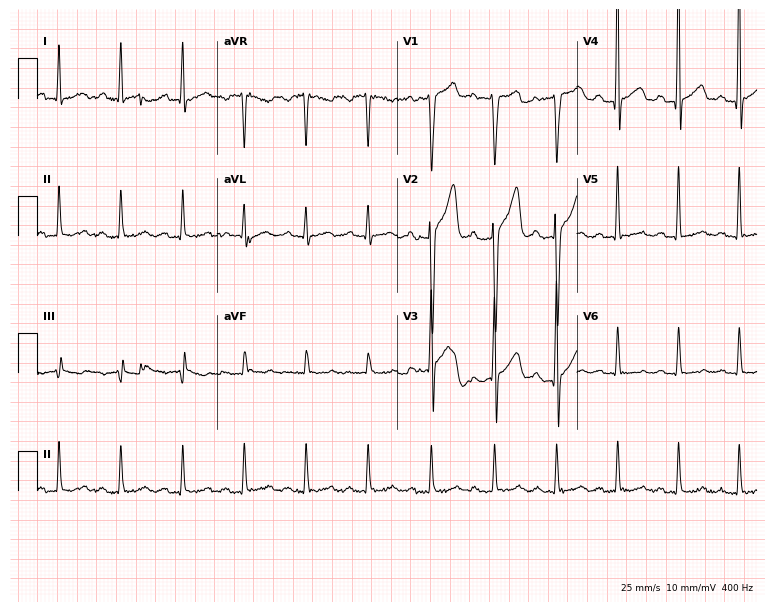
Electrocardiogram (7.3-second recording at 400 Hz), a 40-year-old male patient. Of the six screened findings (first-degree AV block, right bundle branch block, left bundle branch block, sinus bradycardia, atrial fibrillation, sinus tachycardia), none is recorded.